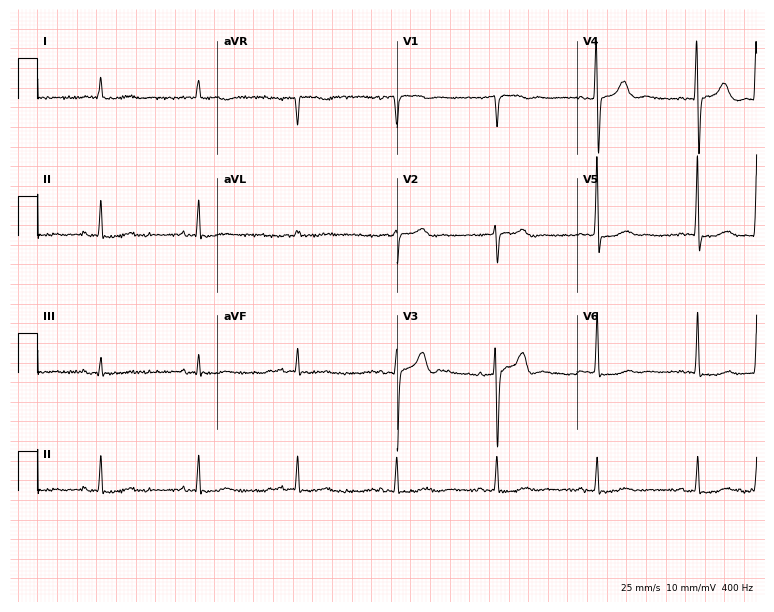
ECG — an 81-year-old man. Labelled as a normal ECG.